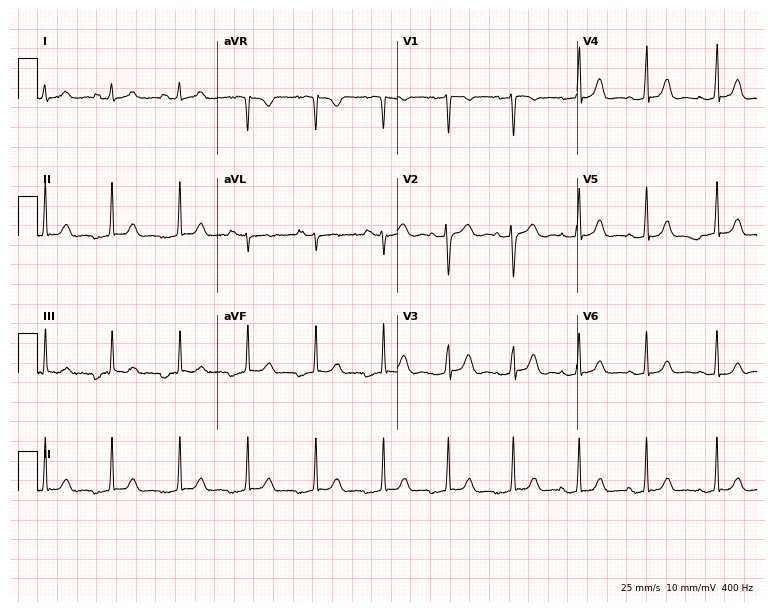
12-lead ECG from a 25-year-old female. Labelled as a normal ECG.